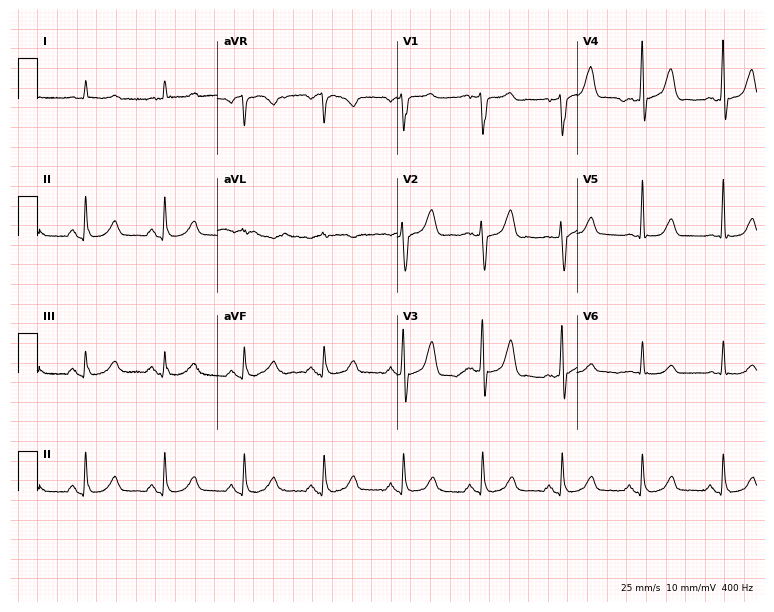
ECG (7.3-second recording at 400 Hz) — an 81-year-old male. Labelled as a normal ECG.